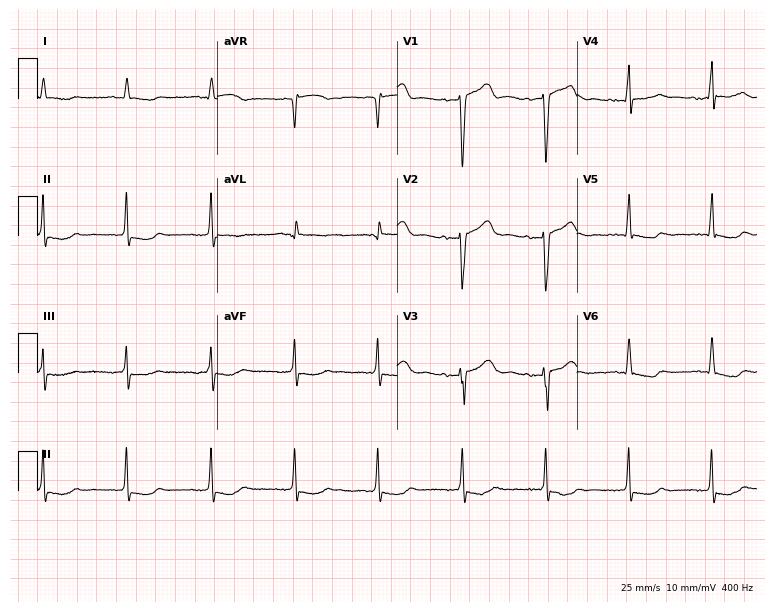
Electrocardiogram, a 79-year-old man. Of the six screened findings (first-degree AV block, right bundle branch block, left bundle branch block, sinus bradycardia, atrial fibrillation, sinus tachycardia), none is recorded.